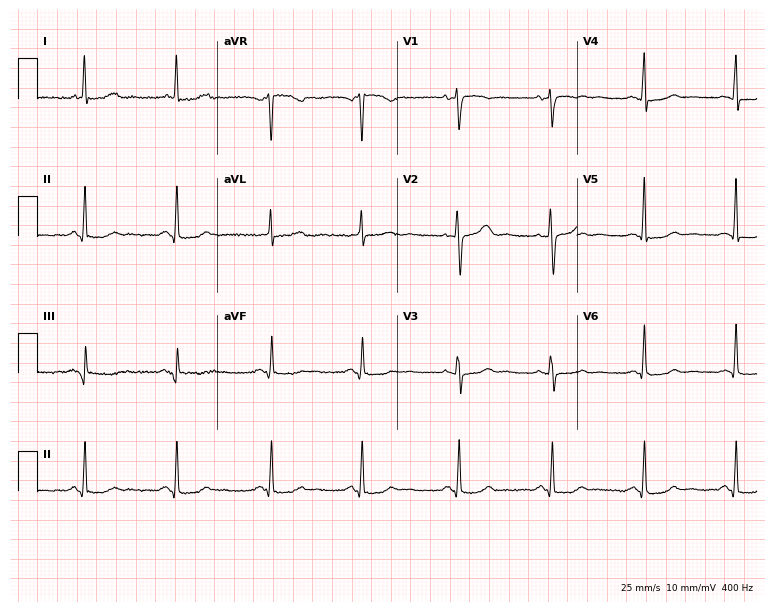
Standard 12-lead ECG recorded from a 62-year-old female patient (7.3-second recording at 400 Hz). Read as a normal ECG.